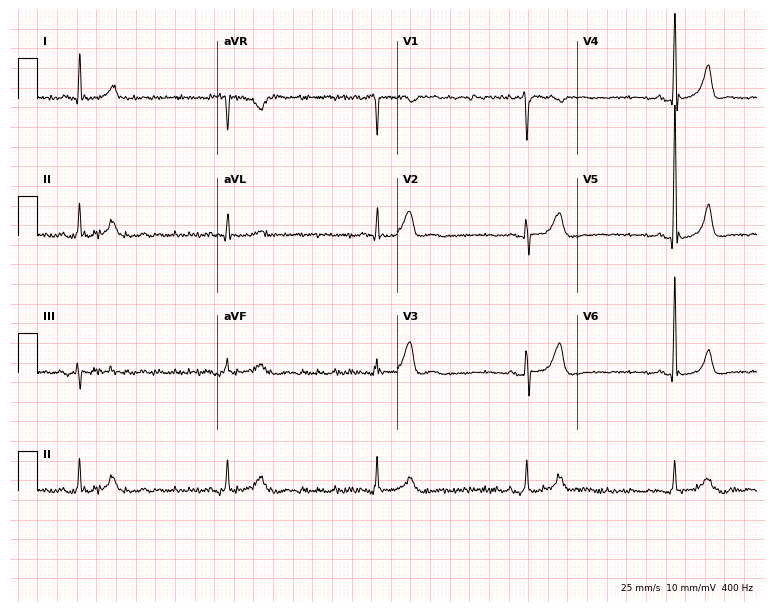
12-lead ECG from a 70-year-old male patient. No first-degree AV block, right bundle branch block, left bundle branch block, sinus bradycardia, atrial fibrillation or sinus tachycardia recorded for this tracing.